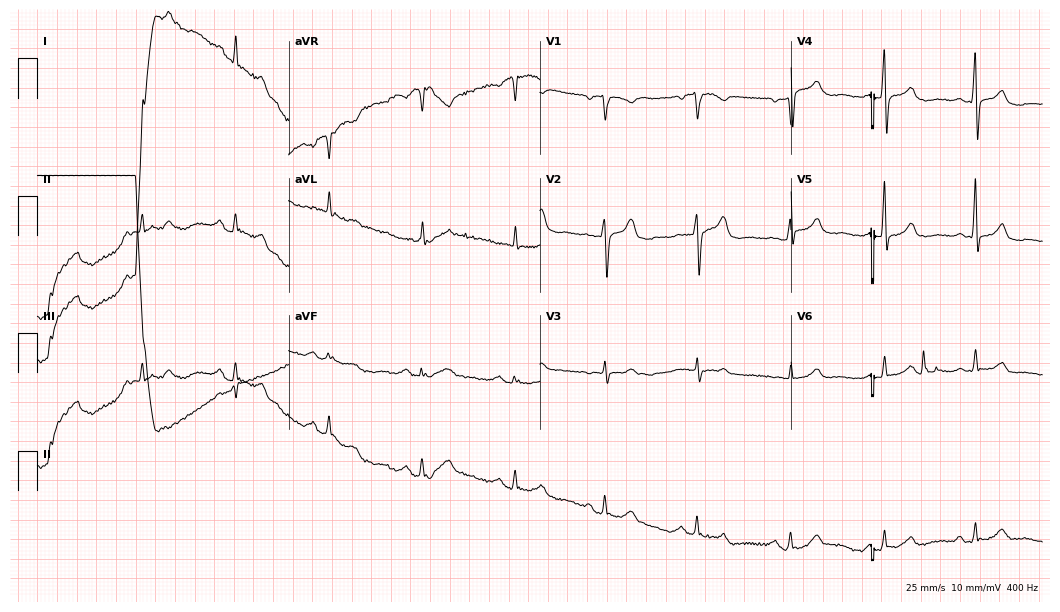
Standard 12-lead ECG recorded from a 74-year-old man (10.2-second recording at 400 Hz). None of these six findings is recorded: first-degree AV block, right bundle branch block, left bundle branch block, sinus bradycardia, atrial fibrillation, sinus tachycardia. Other findings, if any, are not listed.